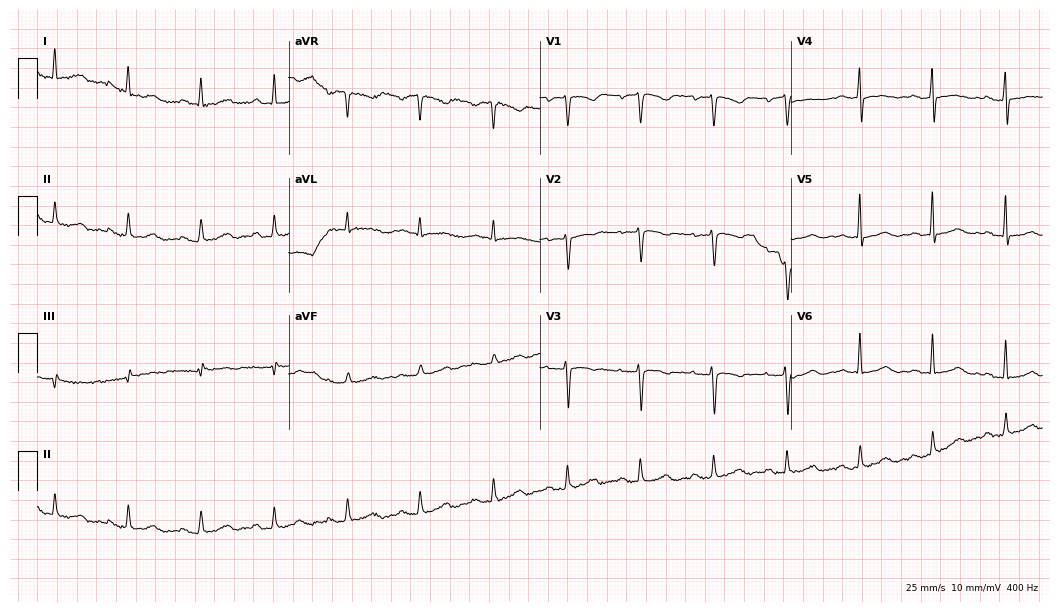
ECG — a 43-year-old female patient. Labelled as a normal ECG.